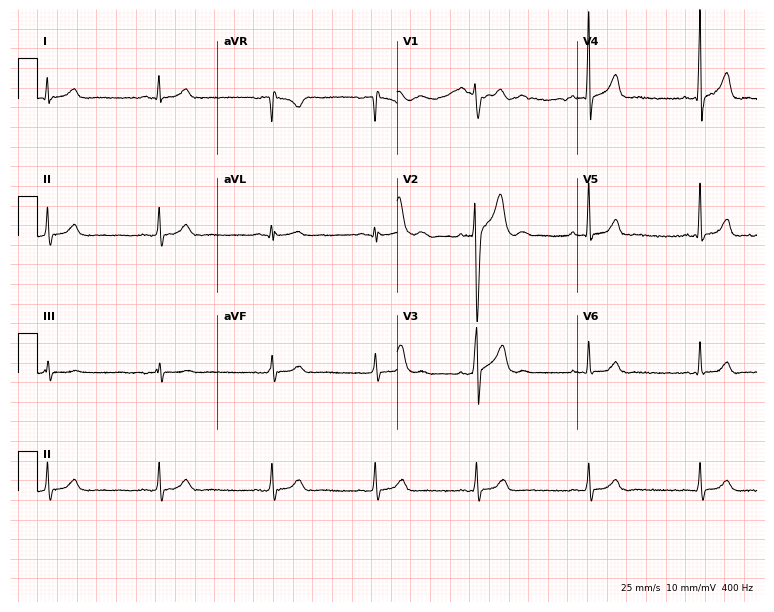
Resting 12-lead electrocardiogram (7.3-second recording at 400 Hz). Patient: a 31-year-old man. Read as a normal ECG.